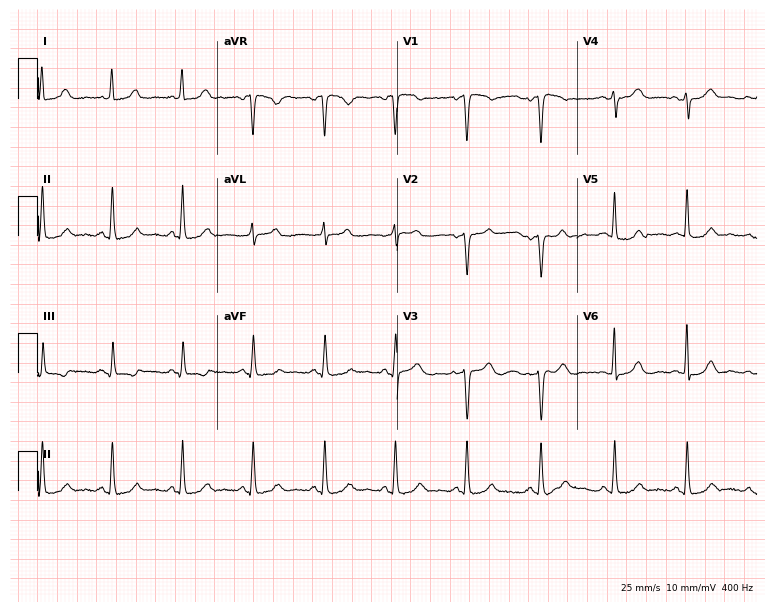
ECG (7.3-second recording at 400 Hz) — a female patient, 51 years old. Labelled as a normal ECG.